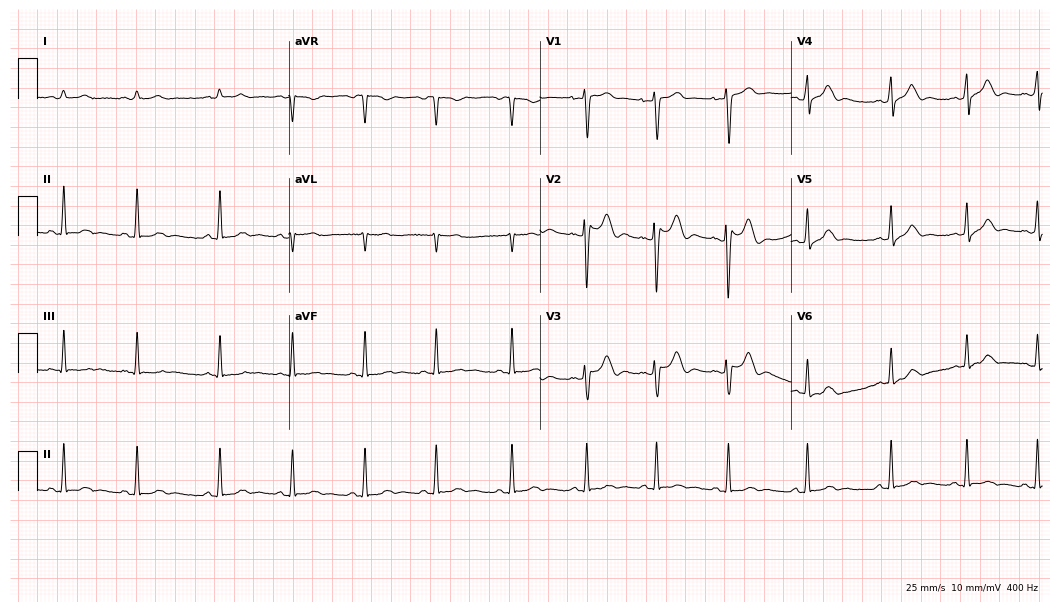
Standard 12-lead ECG recorded from a female patient, 20 years old (10.2-second recording at 400 Hz). None of these six findings is recorded: first-degree AV block, right bundle branch block, left bundle branch block, sinus bradycardia, atrial fibrillation, sinus tachycardia. Only these six findings were labelled.